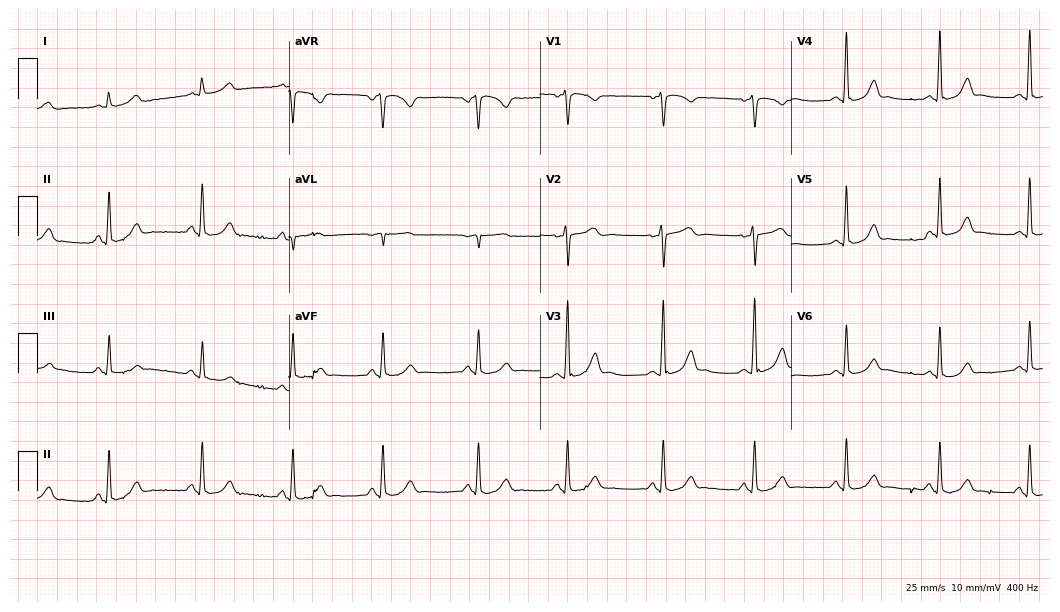
12-lead ECG from a female, 32 years old (10.2-second recording at 400 Hz). Recorded interpretation: within normal limits.